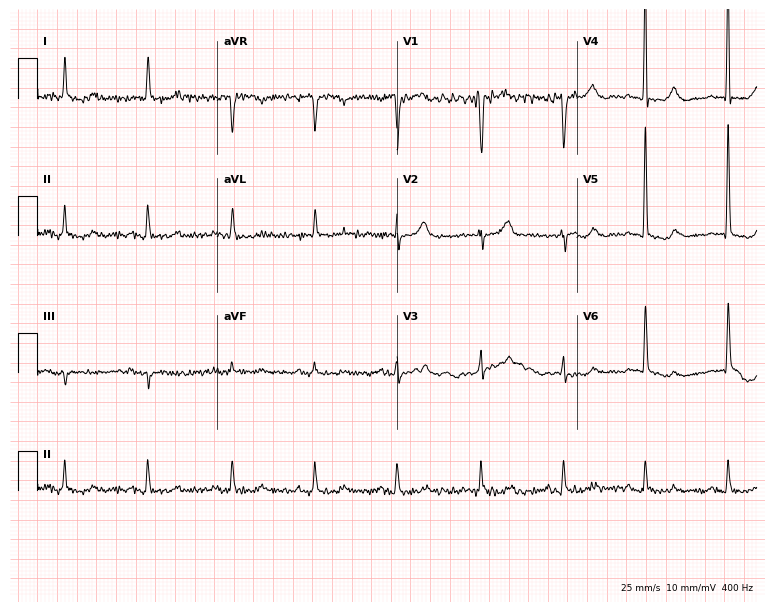
Standard 12-lead ECG recorded from a woman, 77 years old (7.3-second recording at 400 Hz). None of these six findings is recorded: first-degree AV block, right bundle branch block, left bundle branch block, sinus bradycardia, atrial fibrillation, sinus tachycardia. Other findings, if any, are not listed.